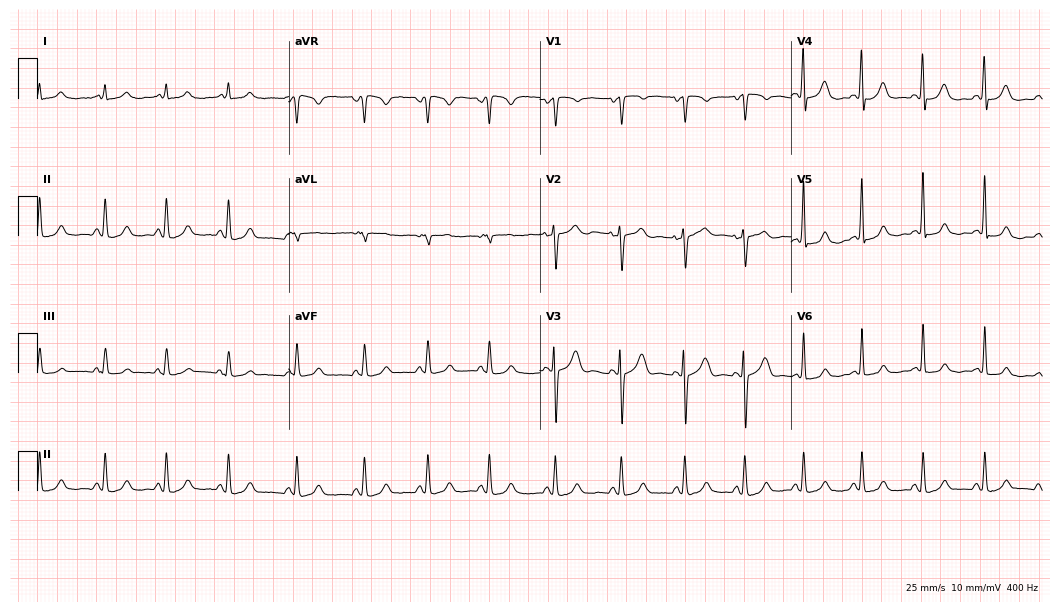
12-lead ECG from a 35-year-old woman. No first-degree AV block, right bundle branch block, left bundle branch block, sinus bradycardia, atrial fibrillation or sinus tachycardia recorded for this tracing.